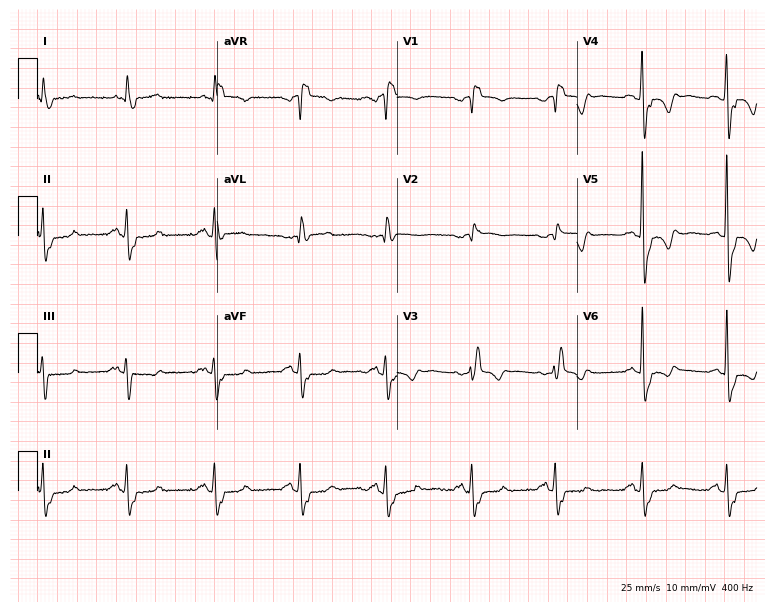
12-lead ECG from a 79-year-old female. Shows right bundle branch block (RBBB).